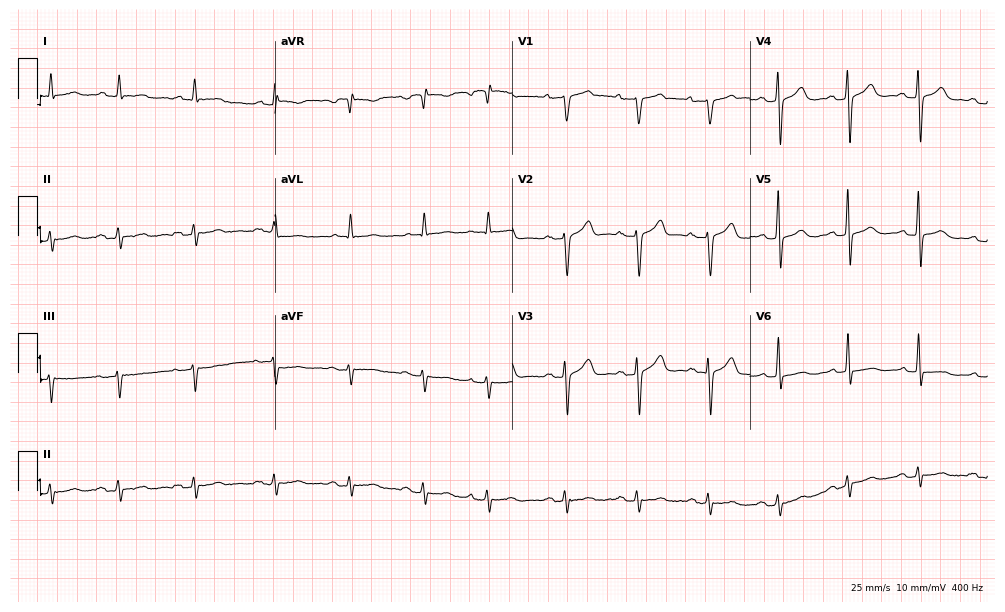
12-lead ECG (9.7-second recording at 400 Hz) from a 76-year-old female. Screened for six findings — first-degree AV block, right bundle branch block, left bundle branch block, sinus bradycardia, atrial fibrillation, sinus tachycardia — none is recorded.